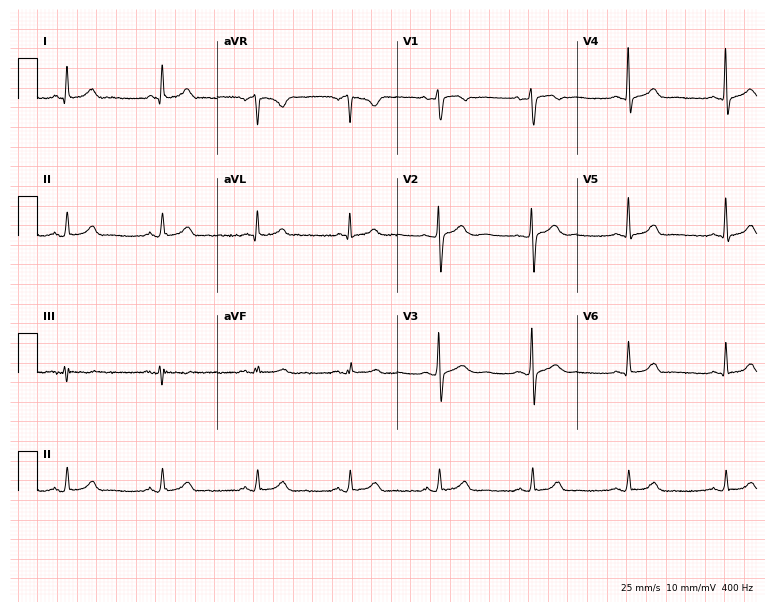
12-lead ECG (7.3-second recording at 400 Hz) from a female, 46 years old. Labelled as a normal ECG.